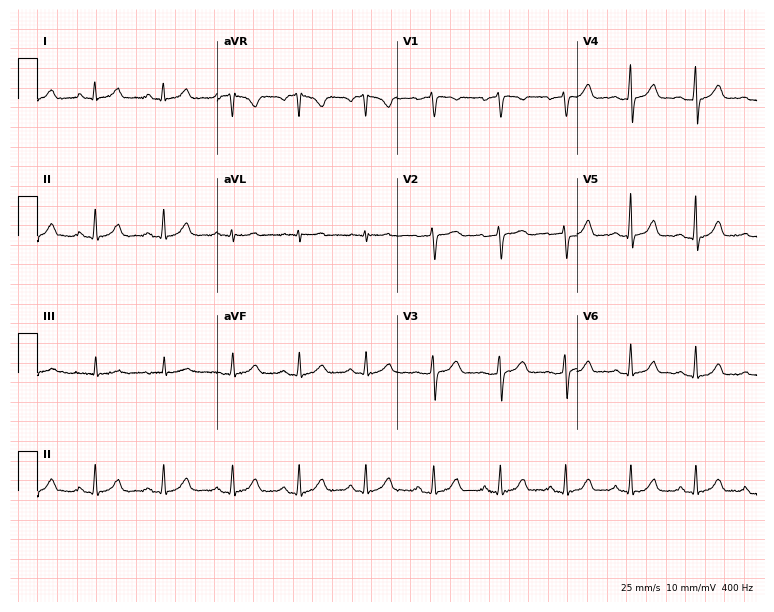
ECG — a woman, 45 years old. Labelled as a normal ECG.